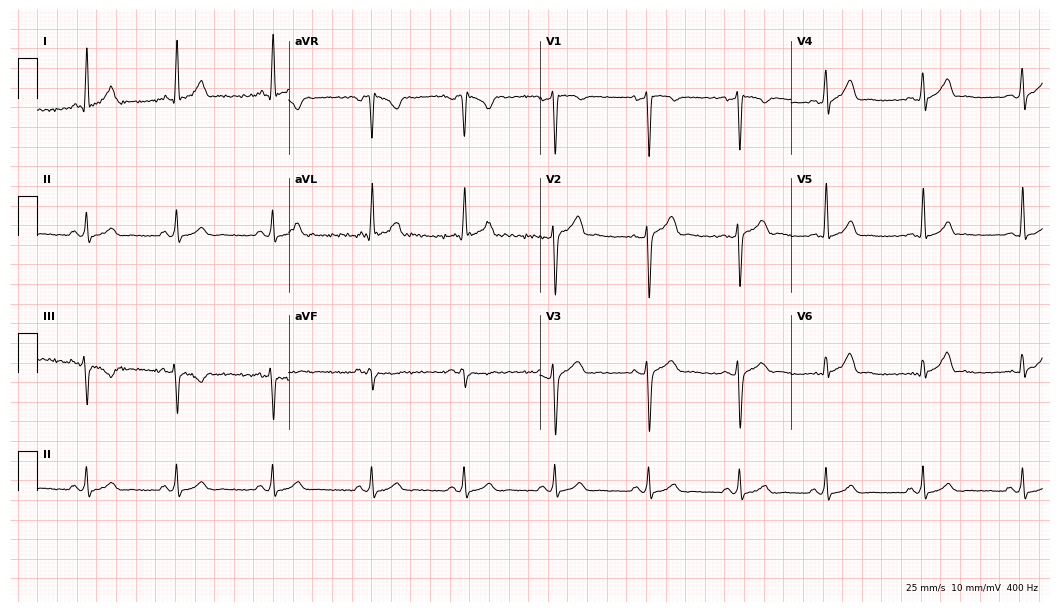
12-lead ECG (10.2-second recording at 400 Hz) from a 25-year-old male patient. Screened for six findings — first-degree AV block, right bundle branch block, left bundle branch block, sinus bradycardia, atrial fibrillation, sinus tachycardia — none is recorded.